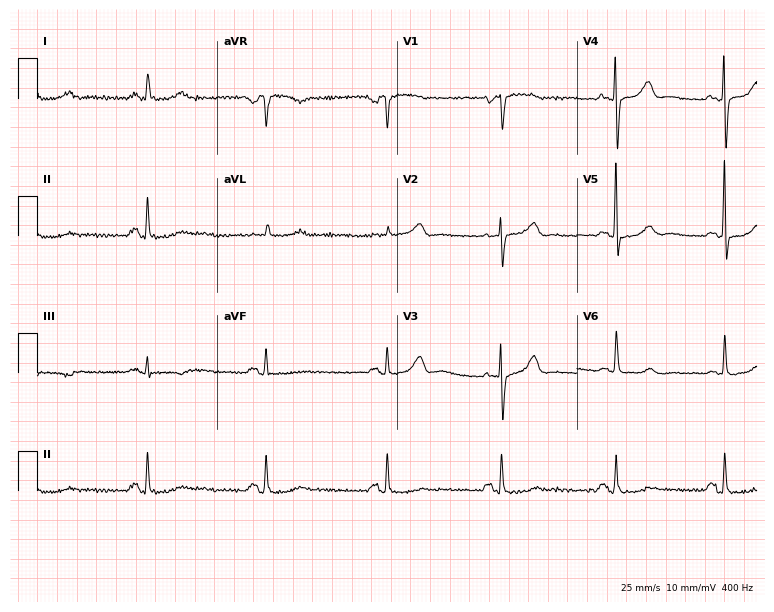
Electrocardiogram, a woman, 72 years old. Of the six screened findings (first-degree AV block, right bundle branch block, left bundle branch block, sinus bradycardia, atrial fibrillation, sinus tachycardia), none is recorded.